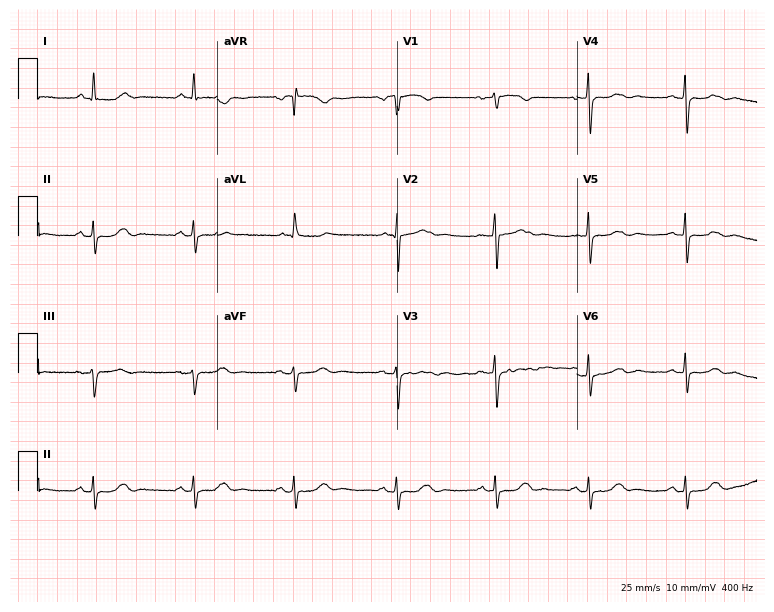
12-lead ECG (7.3-second recording at 400 Hz) from a 51-year-old woman. Screened for six findings — first-degree AV block, right bundle branch block, left bundle branch block, sinus bradycardia, atrial fibrillation, sinus tachycardia — none is recorded. Only these six findings were labelled.